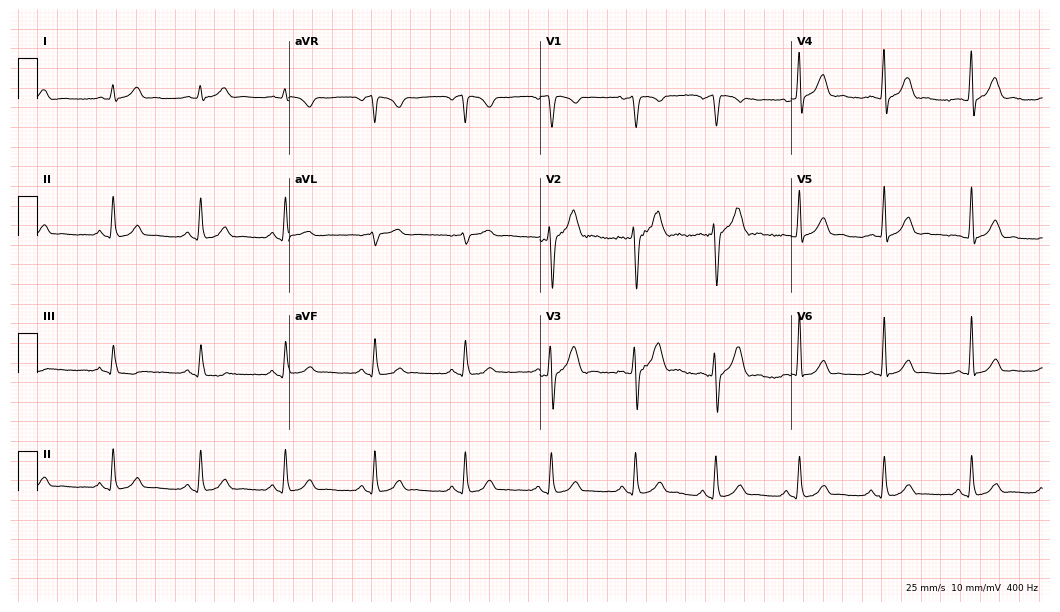
Standard 12-lead ECG recorded from a 31-year-old man (10.2-second recording at 400 Hz). Read as a normal ECG.